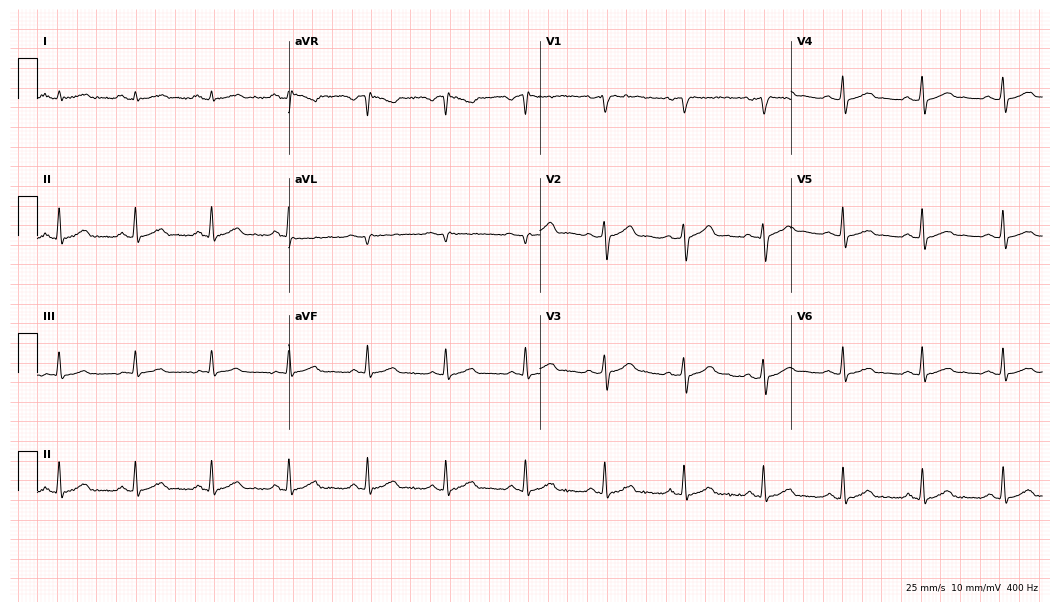
Electrocardiogram, a male patient, 56 years old. Overall reading on record: normal ECG.